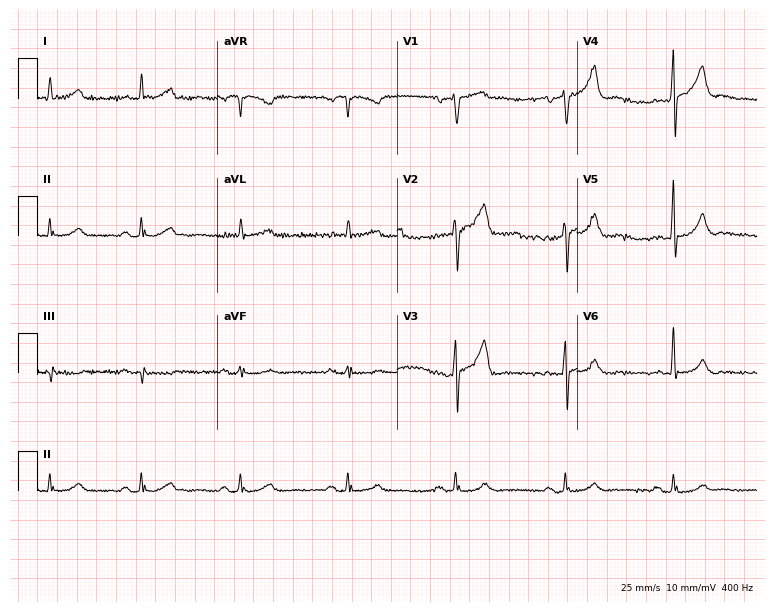
Resting 12-lead electrocardiogram. Patient: a man, 78 years old. Read as a normal ECG.